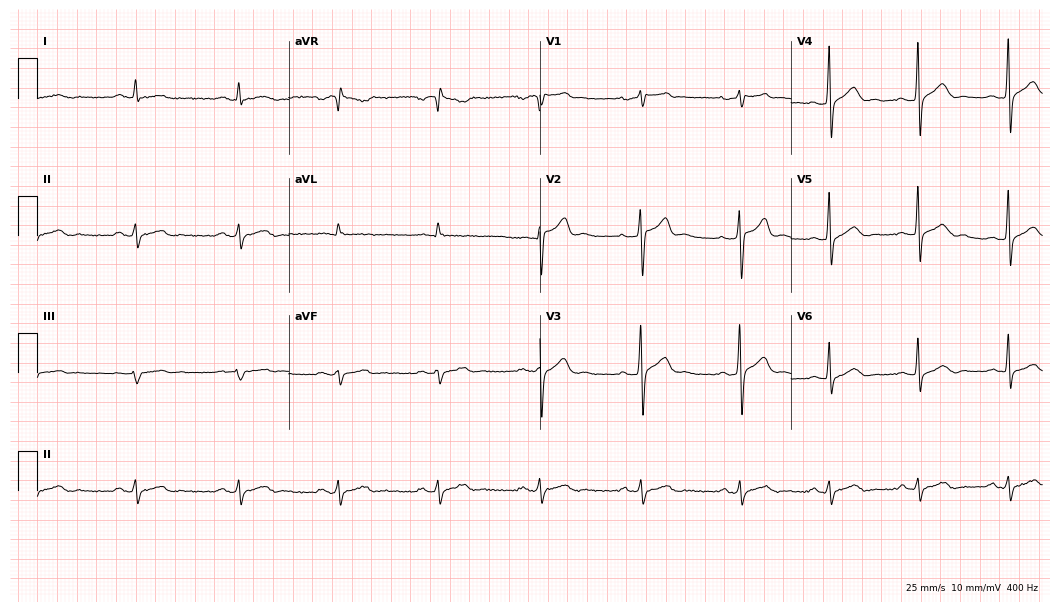
Standard 12-lead ECG recorded from a male patient, 49 years old. Read as a normal ECG.